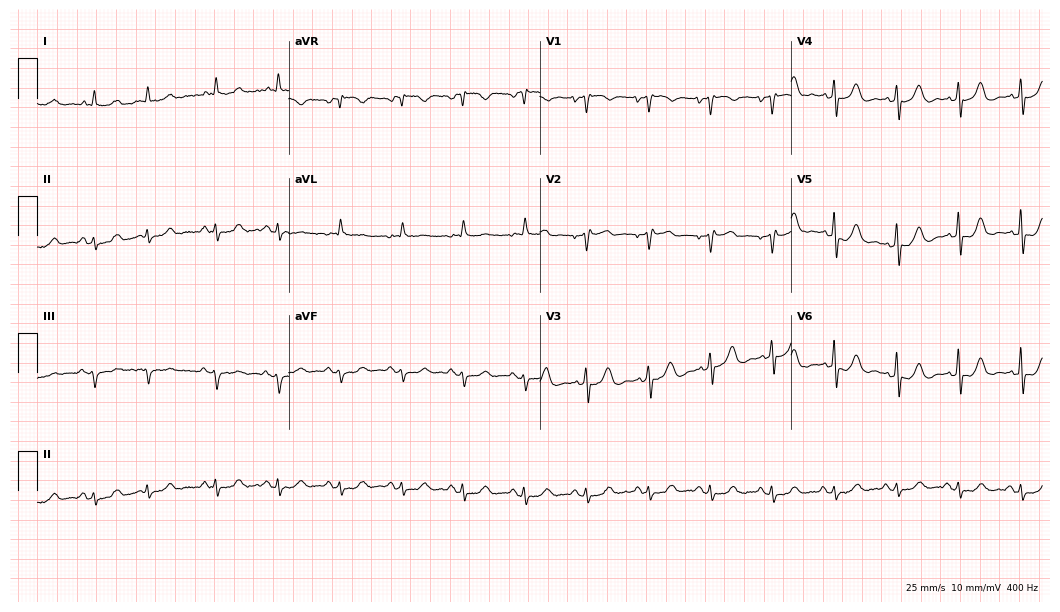
12-lead ECG (10.2-second recording at 400 Hz) from a 75-year-old man. Screened for six findings — first-degree AV block, right bundle branch block, left bundle branch block, sinus bradycardia, atrial fibrillation, sinus tachycardia — none is recorded. Findings outside these six are not listed.